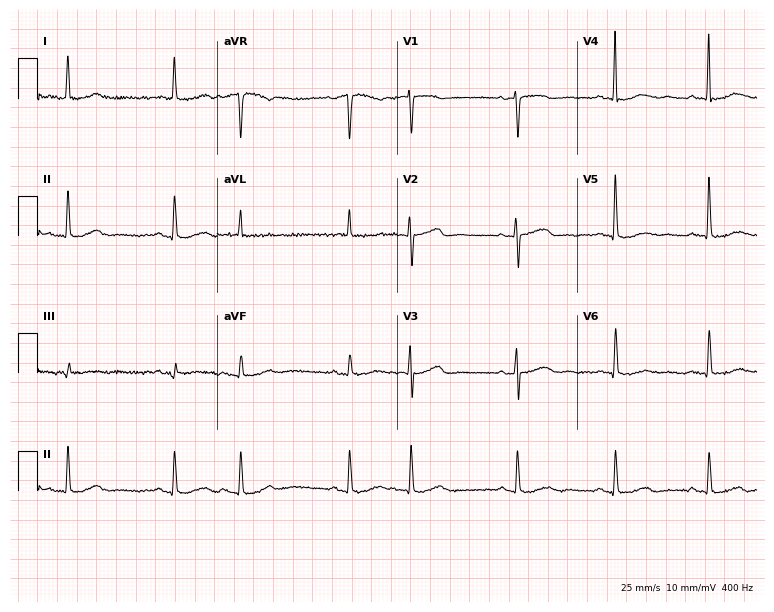
12-lead ECG from a 73-year-old woman. No first-degree AV block, right bundle branch block, left bundle branch block, sinus bradycardia, atrial fibrillation or sinus tachycardia recorded for this tracing.